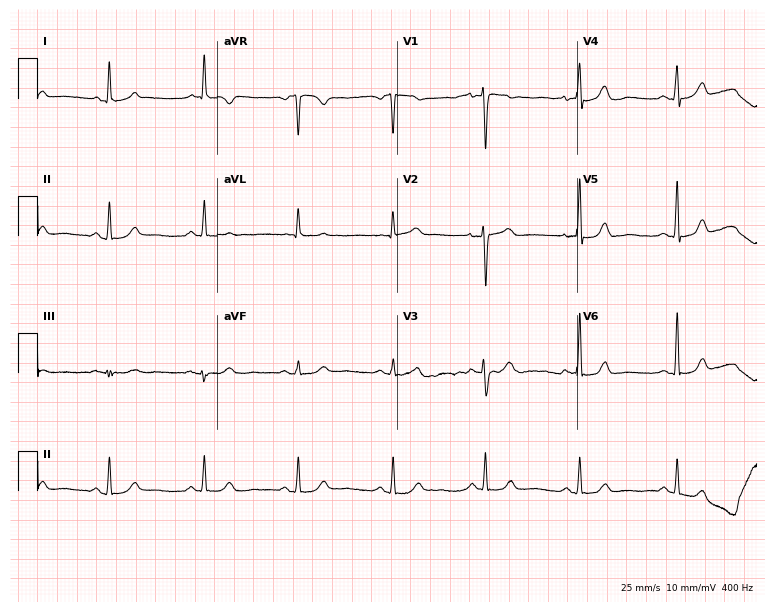
ECG (7.3-second recording at 400 Hz) — a 65-year-old woman. Screened for six findings — first-degree AV block, right bundle branch block, left bundle branch block, sinus bradycardia, atrial fibrillation, sinus tachycardia — none is recorded. Only these six findings were labelled.